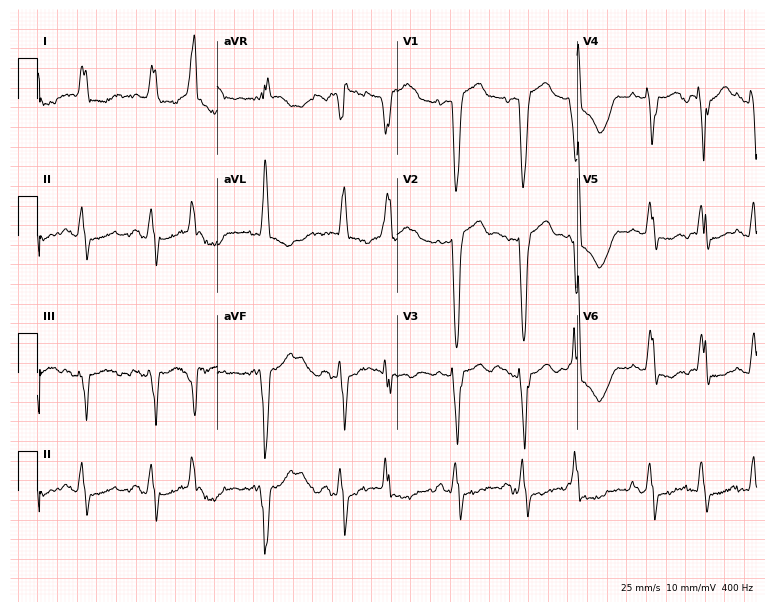
12-lead ECG from a female, 84 years old. Shows left bundle branch block (LBBB).